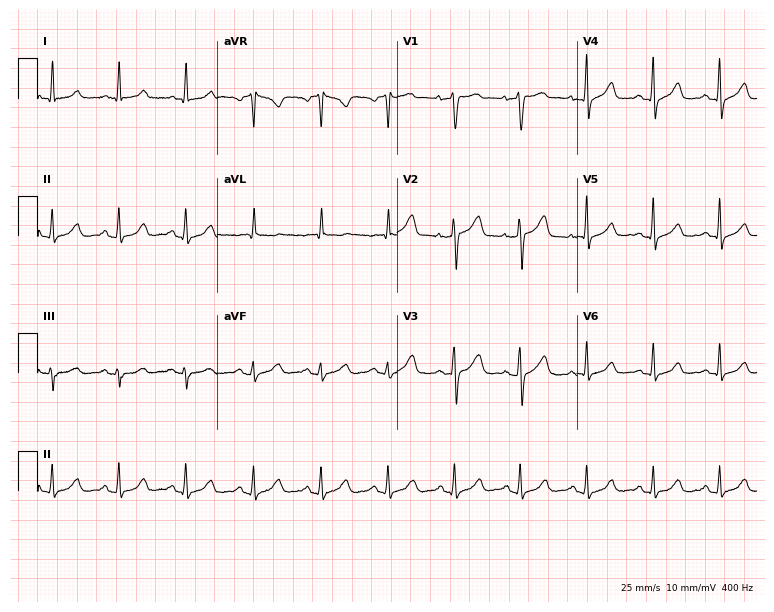
12-lead ECG from a female, 71 years old (7.3-second recording at 400 Hz). Recorded interpretation: within normal limits.